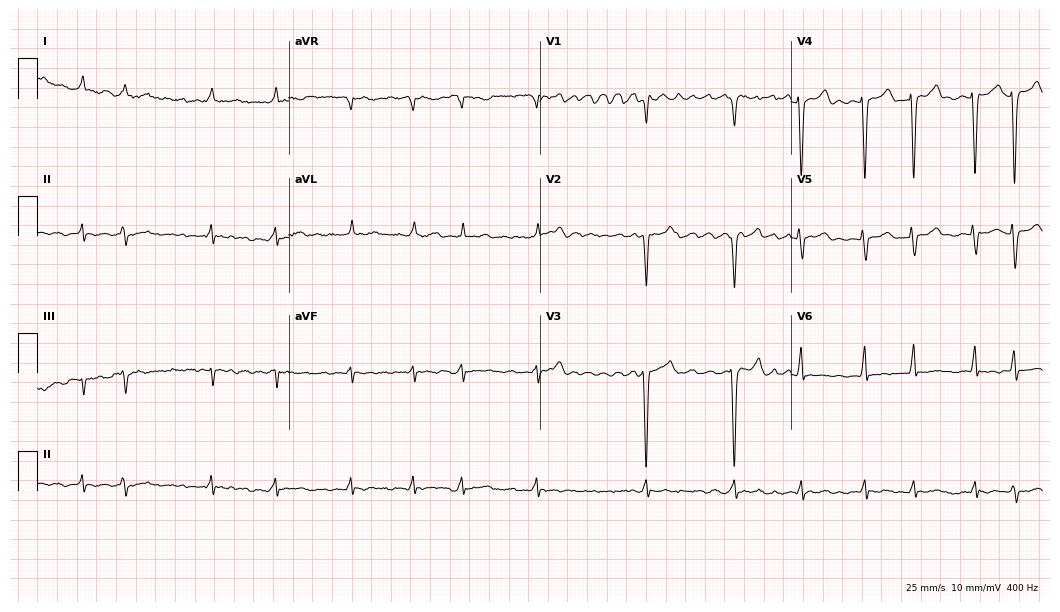
Resting 12-lead electrocardiogram. Patient: a man, 47 years old. The tracing shows atrial fibrillation.